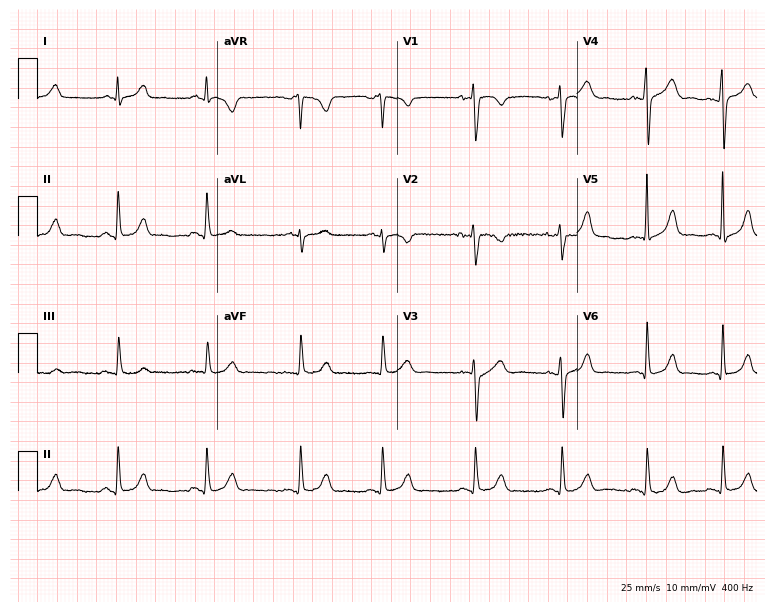
Standard 12-lead ECG recorded from a female patient, 18 years old. None of these six findings is recorded: first-degree AV block, right bundle branch block, left bundle branch block, sinus bradycardia, atrial fibrillation, sinus tachycardia. Findings outside these six are not listed.